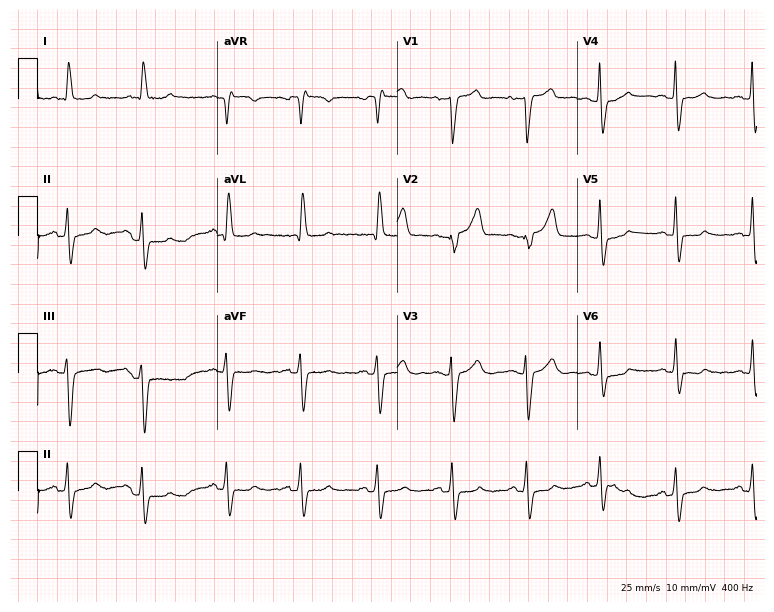
12-lead ECG (7.3-second recording at 400 Hz) from a female, 80 years old. Screened for six findings — first-degree AV block, right bundle branch block, left bundle branch block, sinus bradycardia, atrial fibrillation, sinus tachycardia — none is recorded. Only these six findings were labelled.